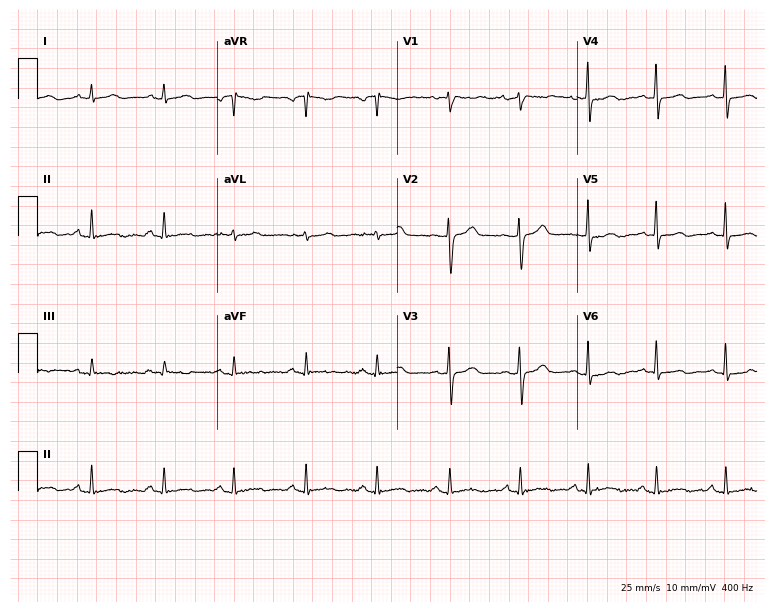
12-lead ECG (7.3-second recording at 400 Hz) from a woman, 33 years old. Screened for six findings — first-degree AV block, right bundle branch block (RBBB), left bundle branch block (LBBB), sinus bradycardia, atrial fibrillation (AF), sinus tachycardia — none is recorded. Other findings, if any, are not listed.